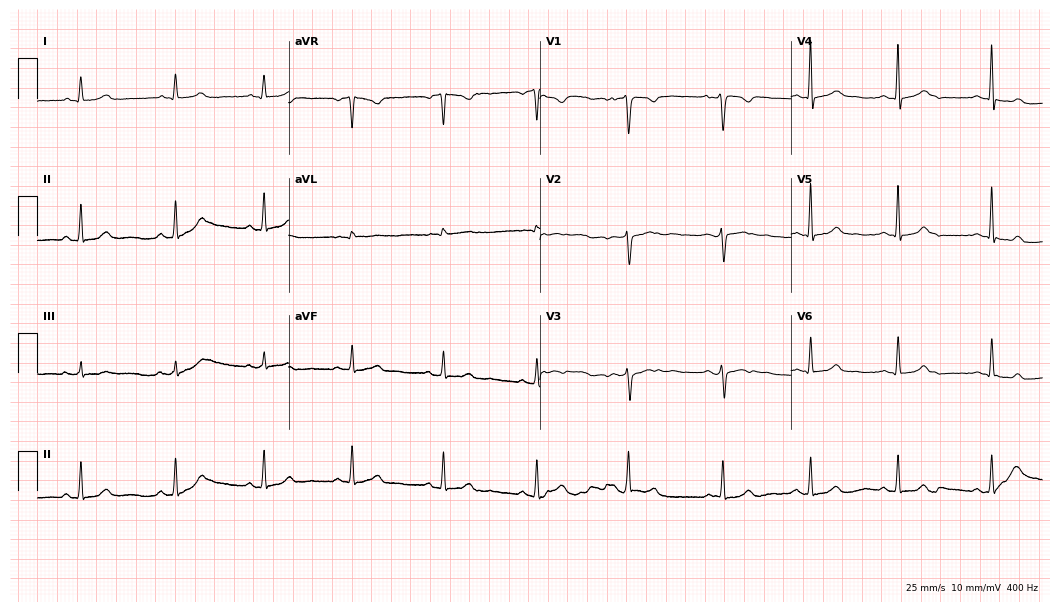
Electrocardiogram, a 30-year-old woman. Overall reading on record: normal ECG.